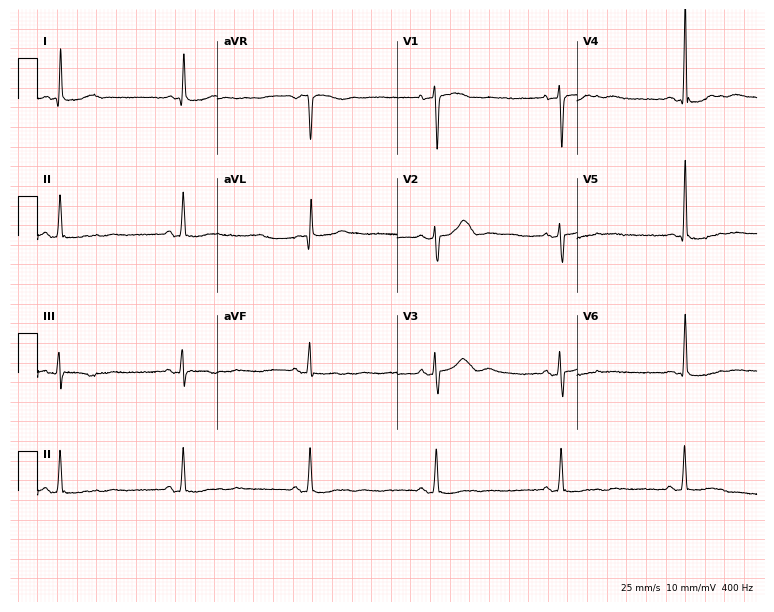
ECG — a female, 52 years old. Findings include sinus bradycardia (a sinus rate of 50 beats per minute or less).